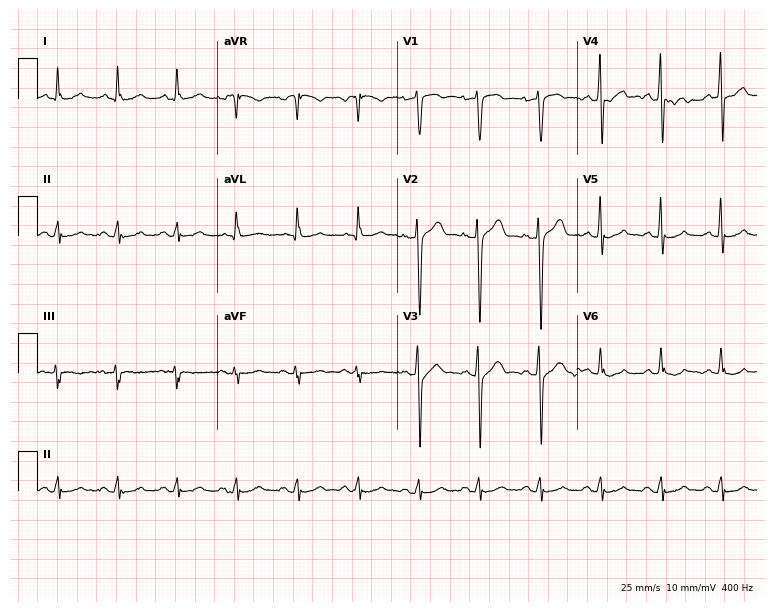
Resting 12-lead electrocardiogram (7.3-second recording at 400 Hz). Patient: a 61-year-old male. Read as a normal ECG.